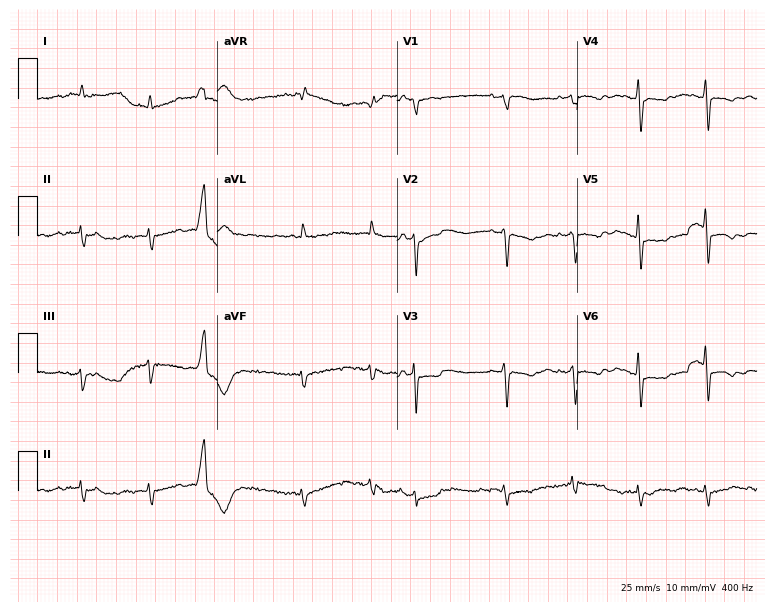
12-lead ECG from a female, 85 years old. No first-degree AV block, right bundle branch block, left bundle branch block, sinus bradycardia, atrial fibrillation or sinus tachycardia recorded for this tracing.